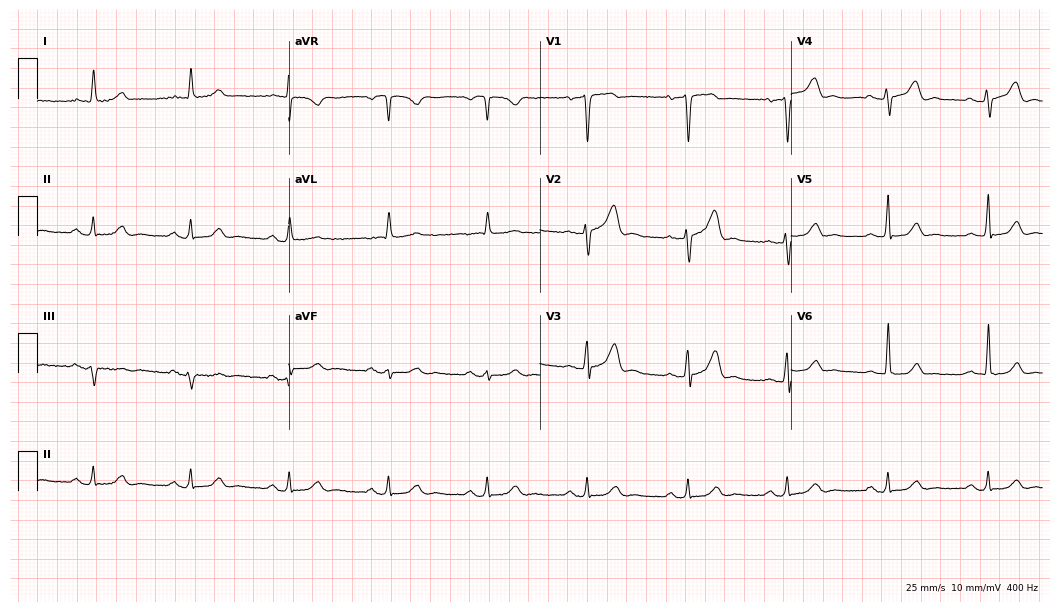
12-lead ECG from a 56-year-old male patient. Labelled as a normal ECG.